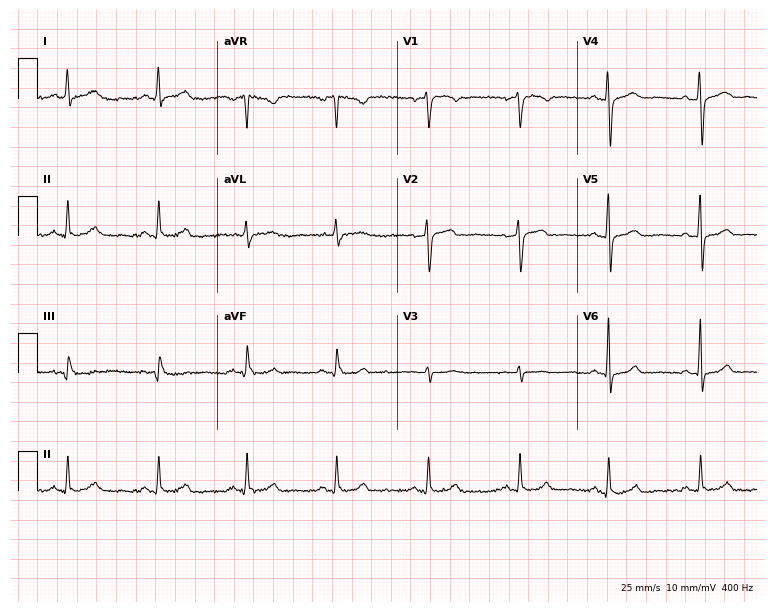
ECG (7.3-second recording at 400 Hz) — a 46-year-old female. Labelled as a normal ECG.